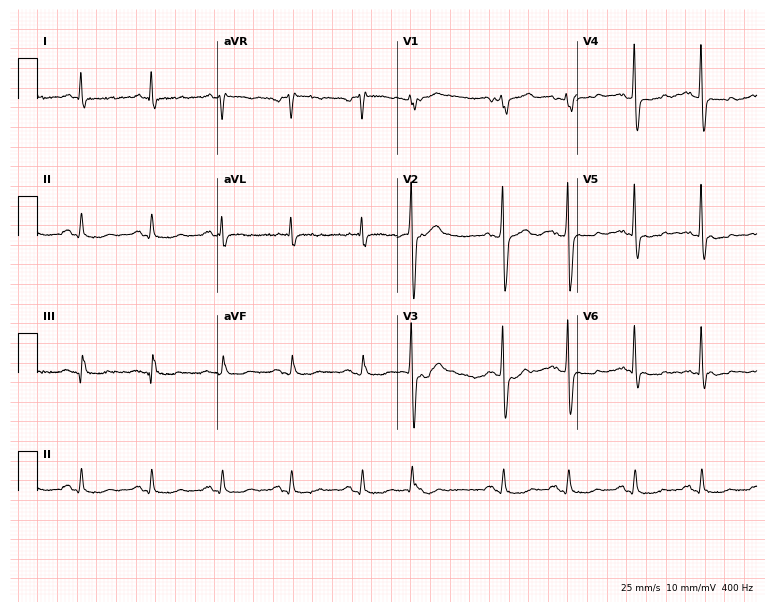
12-lead ECG from a 71-year-old male. Screened for six findings — first-degree AV block, right bundle branch block, left bundle branch block, sinus bradycardia, atrial fibrillation, sinus tachycardia — none is recorded. Only these six findings were labelled.